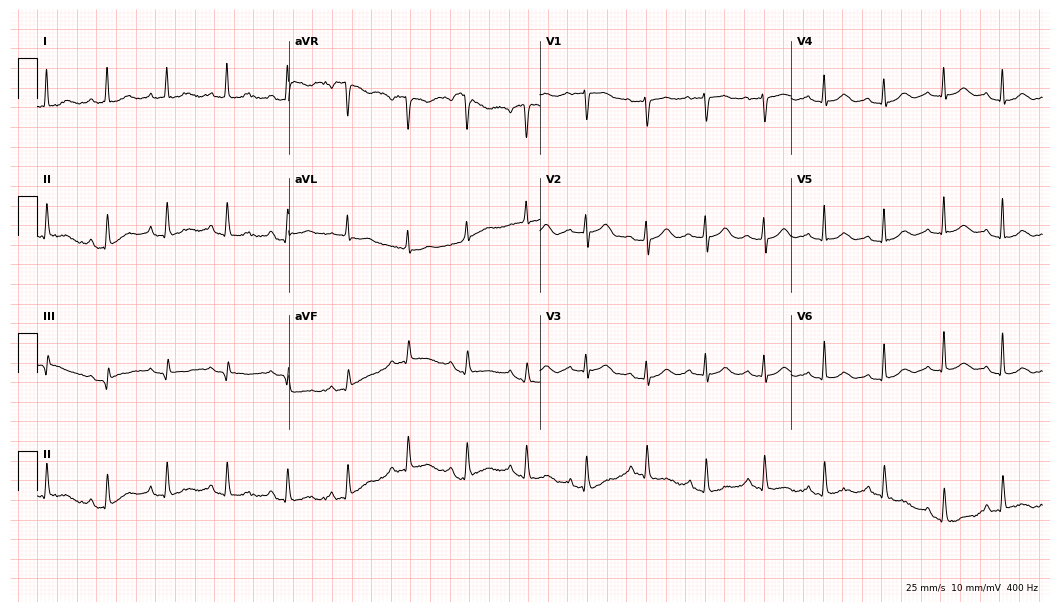
Standard 12-lead ECG recorded from an 80-year-old female patient. None of these six findings is recorded: first-degree AV block, right bundle branch block, left bundle branch block, sinus bradycardia, atrial fibrillation, sinus tachycardia. Other findings, if any, are not listed.